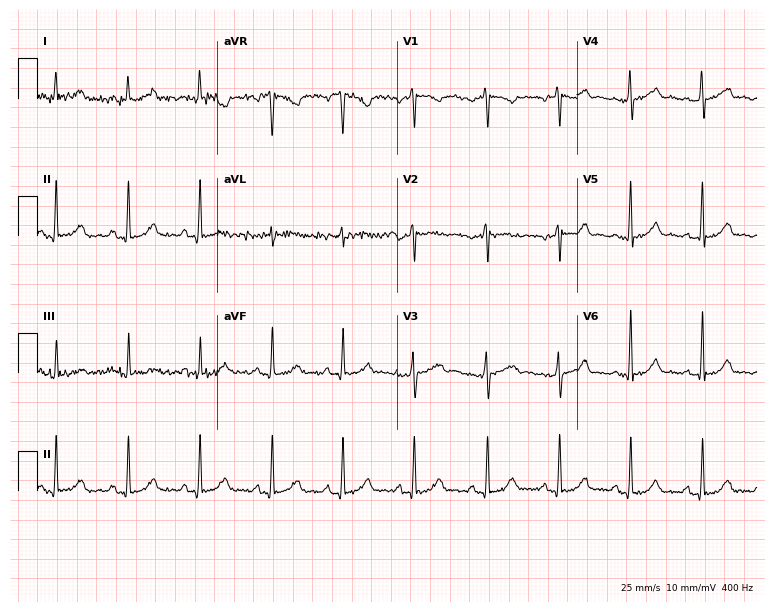
Electrocardiogram, a female patient, 27 years old. Overall reading on record: normal ECG.